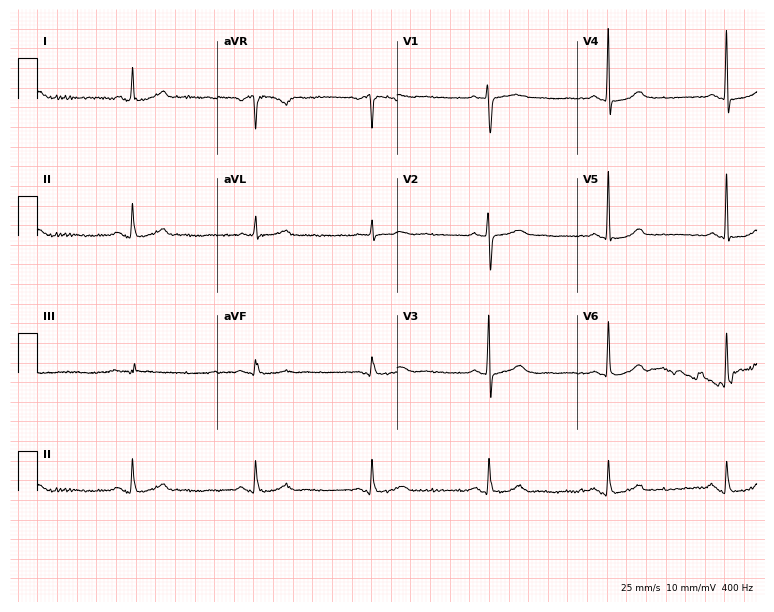
Standard 12-lead ECG recorded from a female, 70 years old. The tracing shows sinus bradycardia (a sinus rate of 50 beats per minute or less).